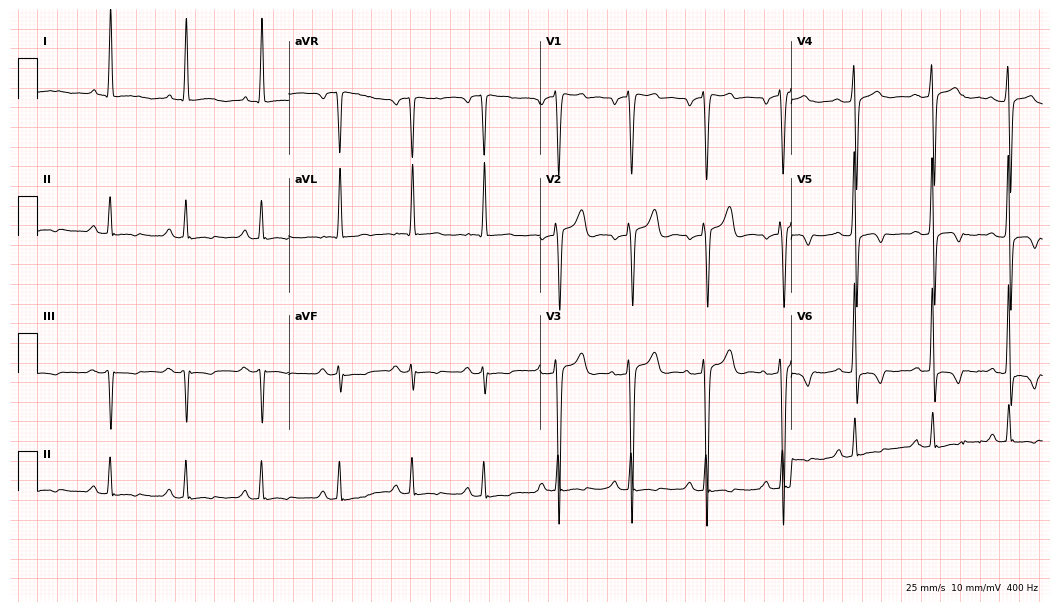
Standard 12-lead ECG recorded from a man, 39 years old (10.2-second recording at 400 Hz). Read as a normal ECG.